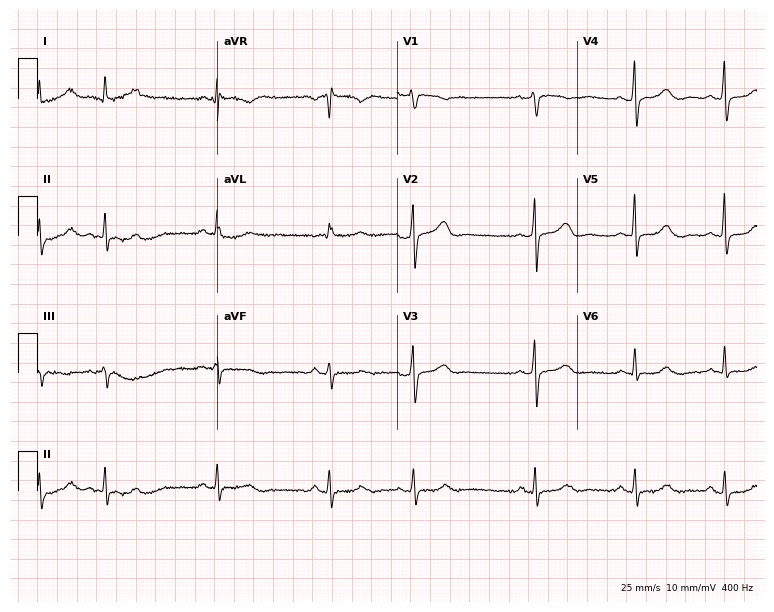
12-lead ECG from a 79-year-old female patient. No first-degree AV block, right bundle branch block, left bundle branch block, sinus bradycardia, atrial fibrillation or sinus tachycardia recorded for this tracing. Findings outside these six are not listed.